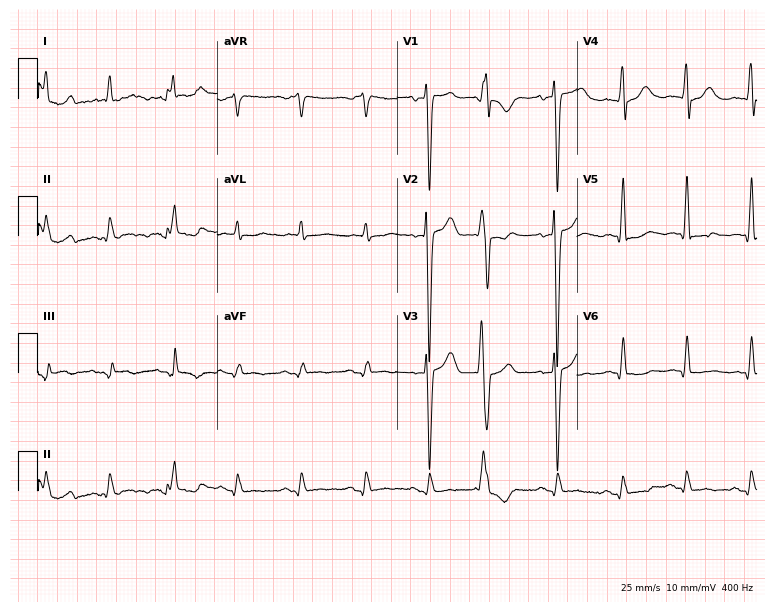
12-lead ECG from a male, 83 years old. No first-degree AV block, right bundle branch block (RBBB), left bundle branch block (LBBB), sinus bradycardia, atrial fibrillation (AF) or sinus tachycardia recorded for this tracing. Other findings, if any, are not listed.